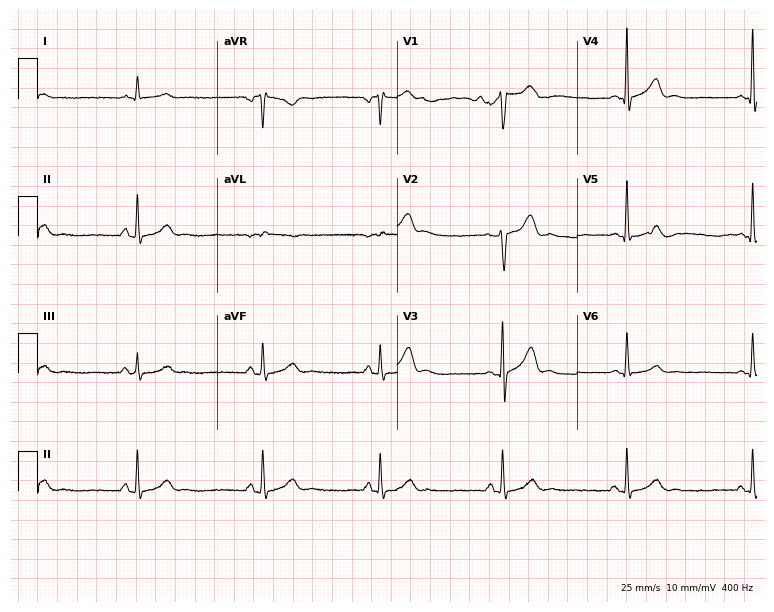
Standard 12-lead ECG recorded from a man, 53 years old. None of these six findings is recorded: first-degree AV block, right bundle branch block (RBBB), left bundle branch block (LBBB), sinus bradycardia, atrial fibrillation (AF), sinus tachycardia. Other findings, if any, are not listed.